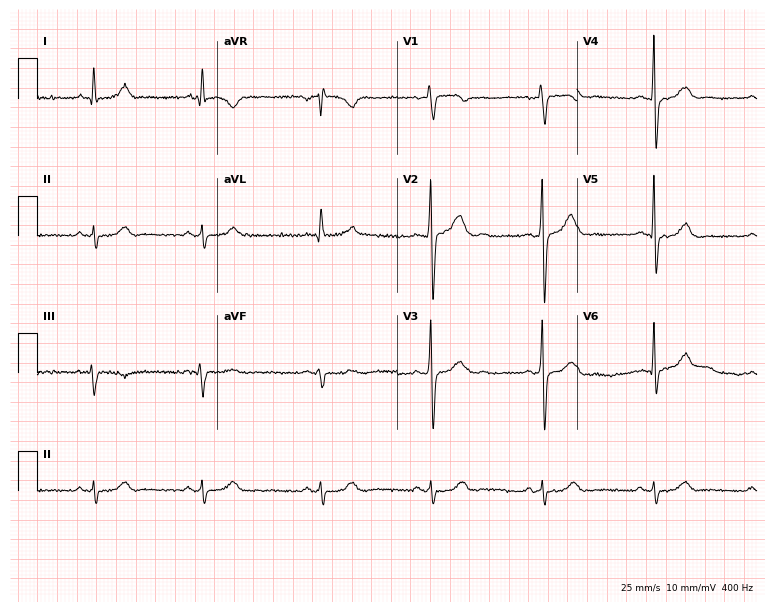
Standard 12-lead ECG recorded from a 49-year-old male (7.3-second recording at 400 Hz). None of these six findings is recorded: first-degree AV block, right bundle branch block, left bundle branch block, sinus bradycardia, atrial fibrillation, sinus tachycardia. Findings outside these six are not listed.